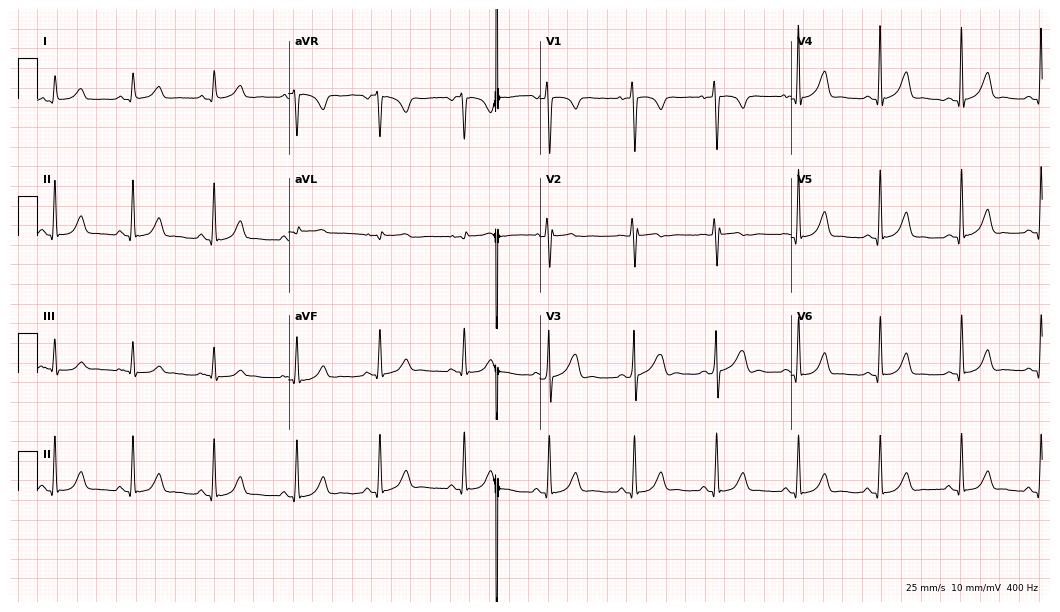
Standard 12-lead ECG recorded from a 43-year-old female. Read as a normal ECG.